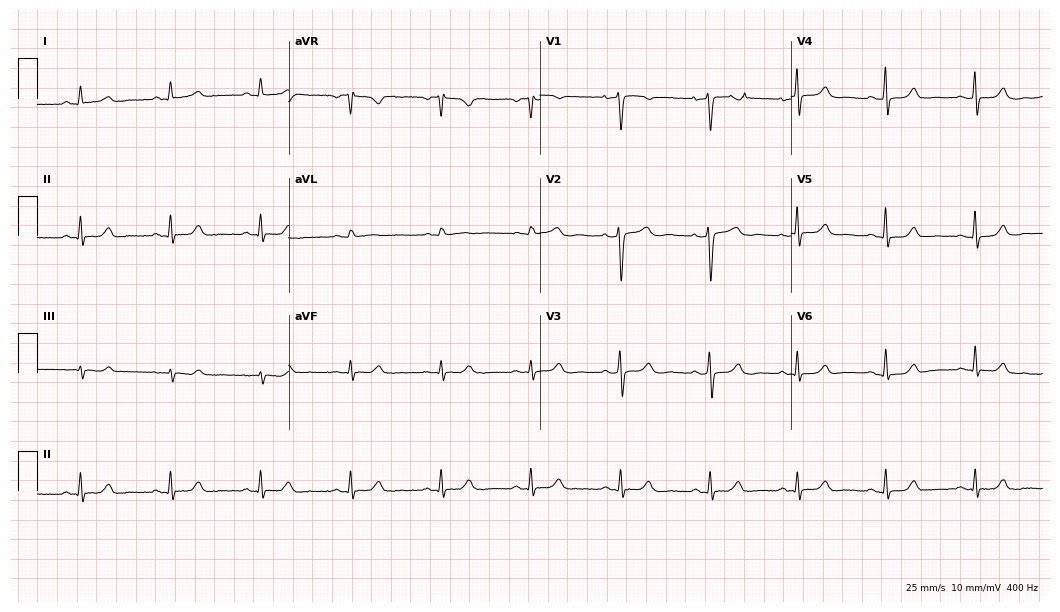
12-lead ECG from a 41-year-old female patient. No first-degree AV block, right bundle branch block, left bundle branch block, sinus bradycardia, atrial fibrillation or sinus tachycardia recorded for this tracing. Only these six findings were labelled.